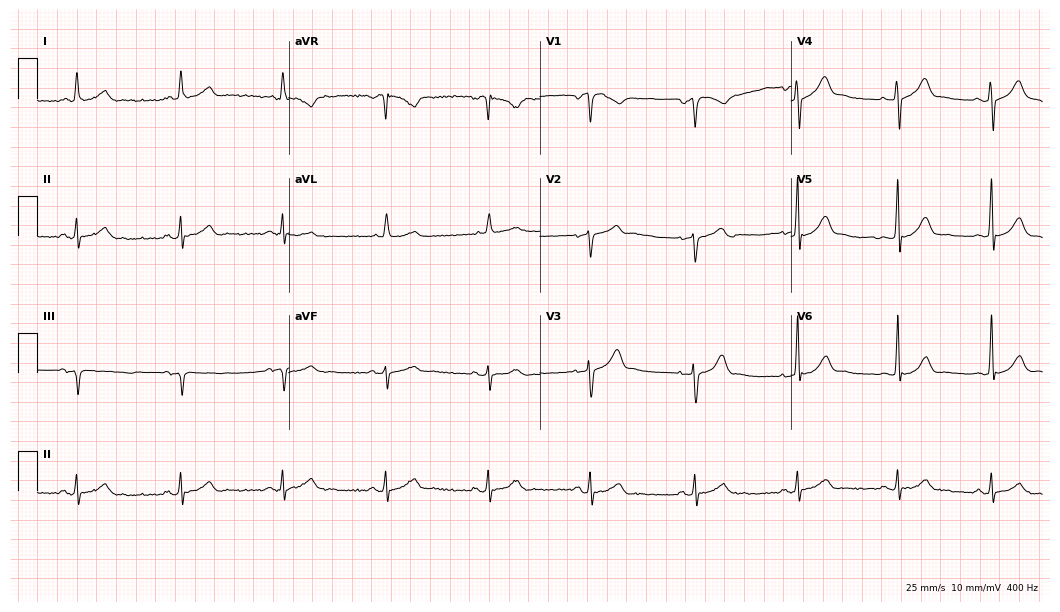
12-lead ECG from a 66-year-old man. Labelled as a normal ECG.